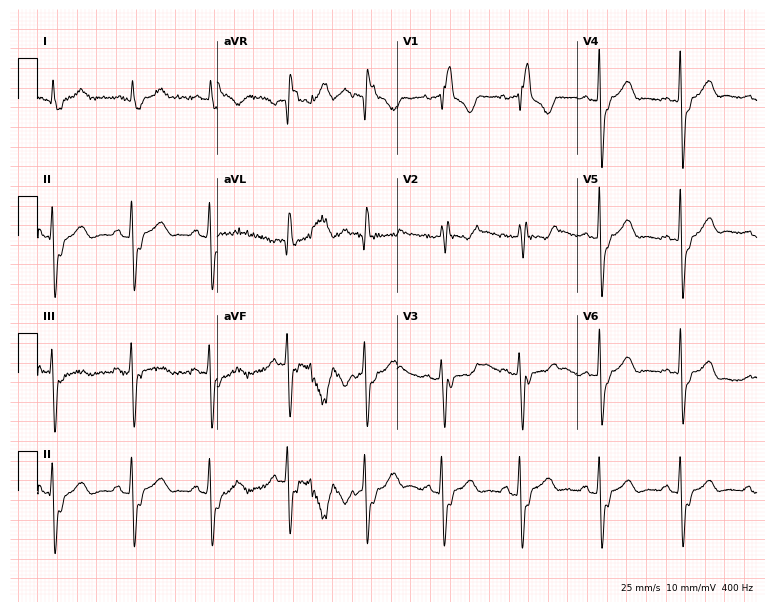
Resting 12-lead electrocardiogram (7.3-second recording at 400 Hz). Patient: a 79-year-old woman. The tracing shows right bundle branch block.